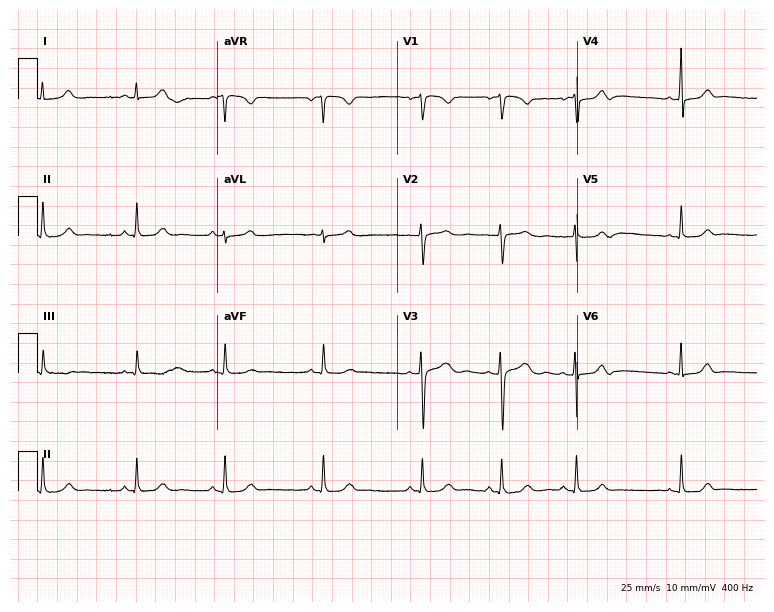
ECG (7.3-second recording at 400 Hz) — a 22-year-old woman. Labelled as a normal ECG.